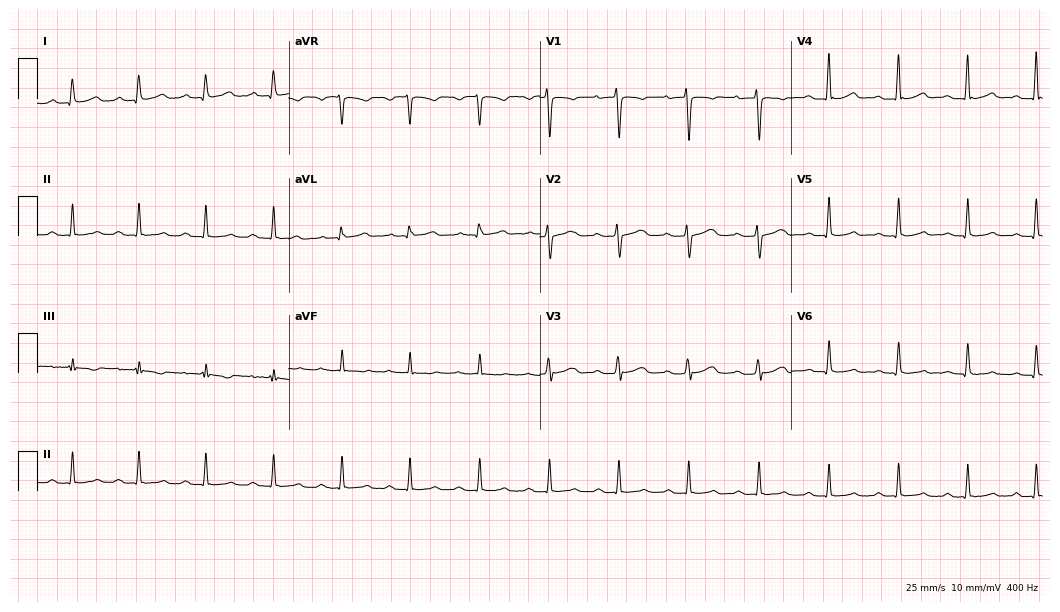
12-lead ECG (10.2-second recording at 400 Hz) from a female, 40 years old. Screened for six findings — first-degree AV block, right bundle branch block, left bundle branch block, sinus bradycardia, atrial fibrillation, sinus tachycardia — none is recorded. Other findings, if any, are not listed.